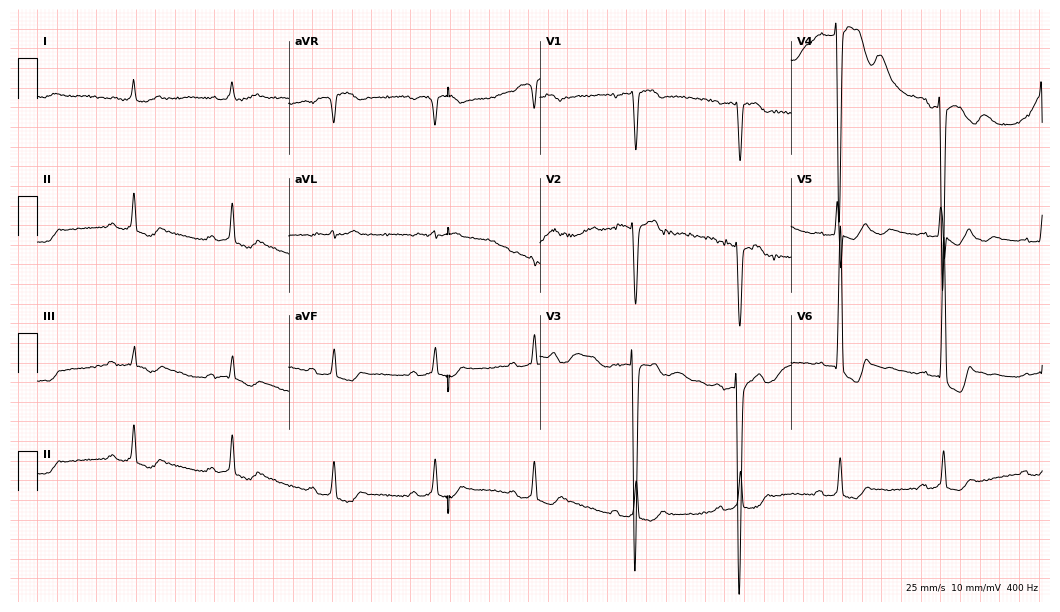
12-lead ECG from a female, 79 years old (10.2-second recording at 400 Hz). No first-degree AV block, right bundle branch block, left bundle branch block, sinus bradycardia, atrial fibrillation or sinus tachycardia recorded for this tracing.